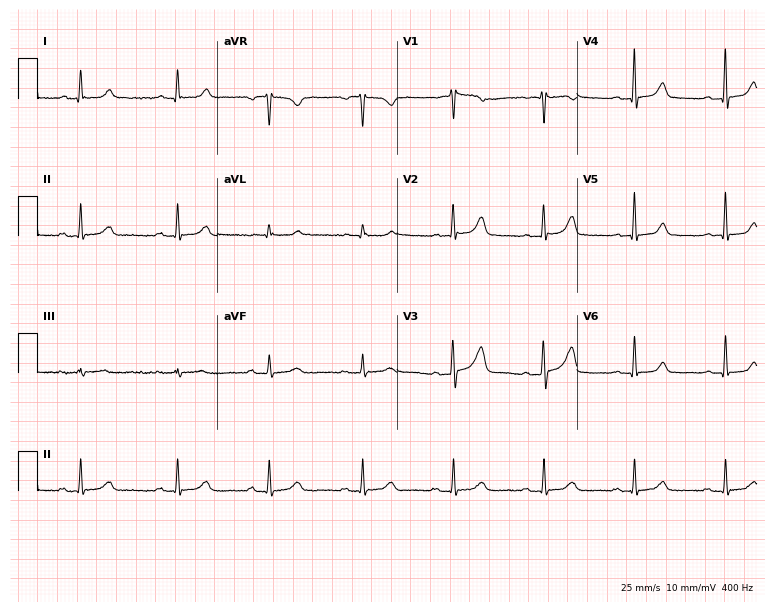
ECG — a 58-year-old female patient. Screened for six findings — first-degree AV block, right bundle branch block, left bundle branch block, sinus bradycardia, atrial fibrillation, sinus tachycardia — none is recorded. Only these six findings were labelled.